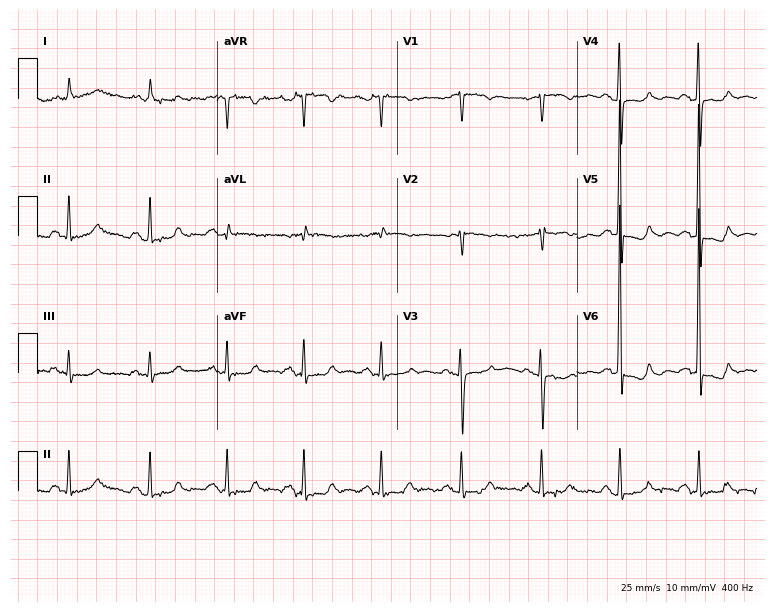
ECG (7.3-second recording at 400 Hz) — a female patient, 75 years old. Screened for six findings — first-degree AV block, right bundle branch block, left bundle branch block, sinus bradycardia, atrial fibrillation, sinus tachycardia — none is recorded. Only these six findings were labelled.